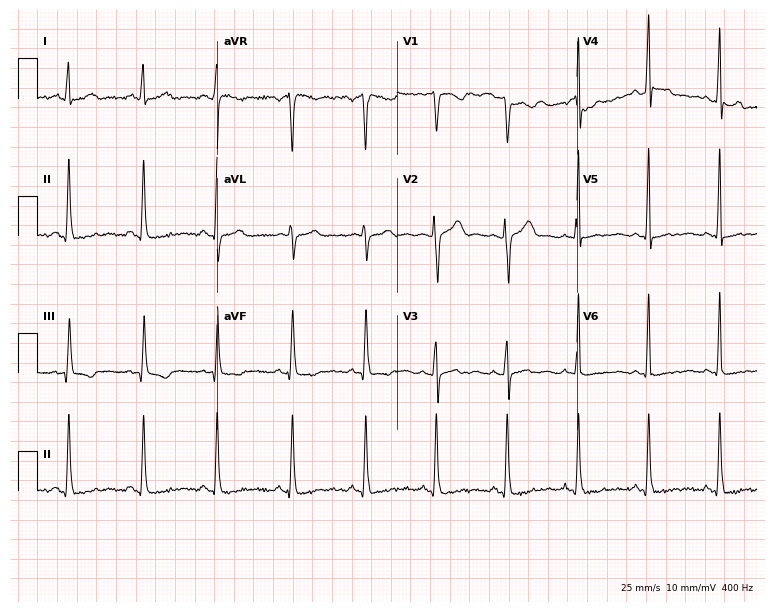
Electrocardiogram, a 38-year-old woman. Of the six screened findings (first-degree AV block, right bundle branch block, left bundle branch block, sinus bradycardia, atrial fibrillation, sinus tachycardia), none is recorded.